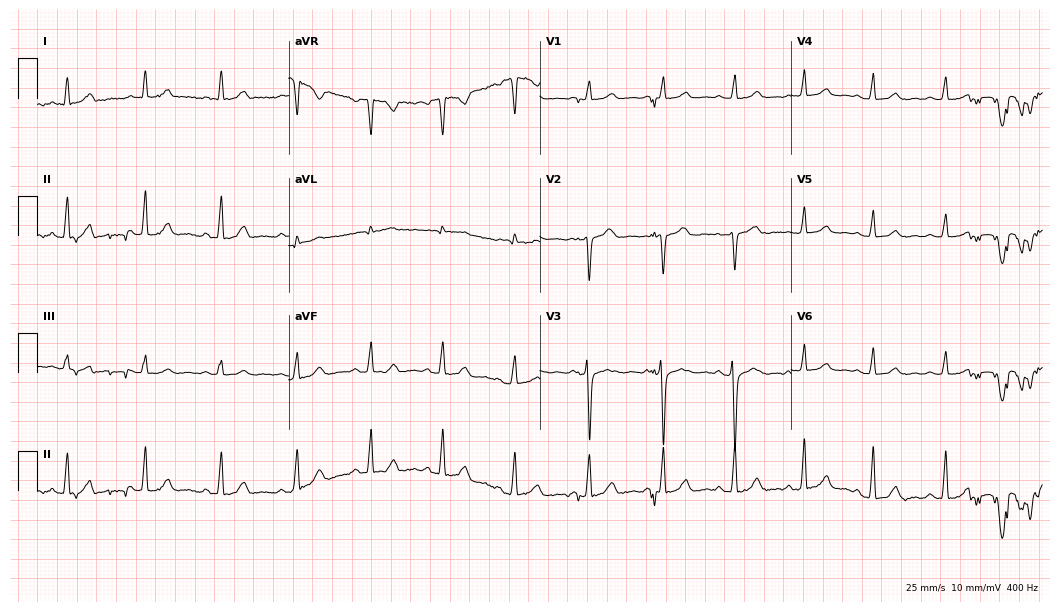
Standard 12-lead ECG recorded from a 29-year-old woman (10.2-second recording at 400 Hz). Read as a normal ECG.